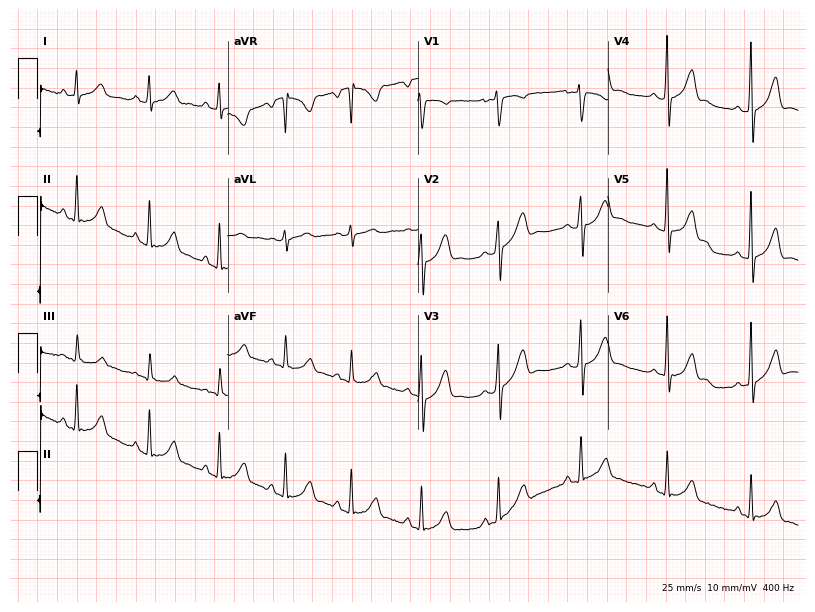
Standard 12-lead ECG recorded from a female, 21 years old. Read as a normal ECG.